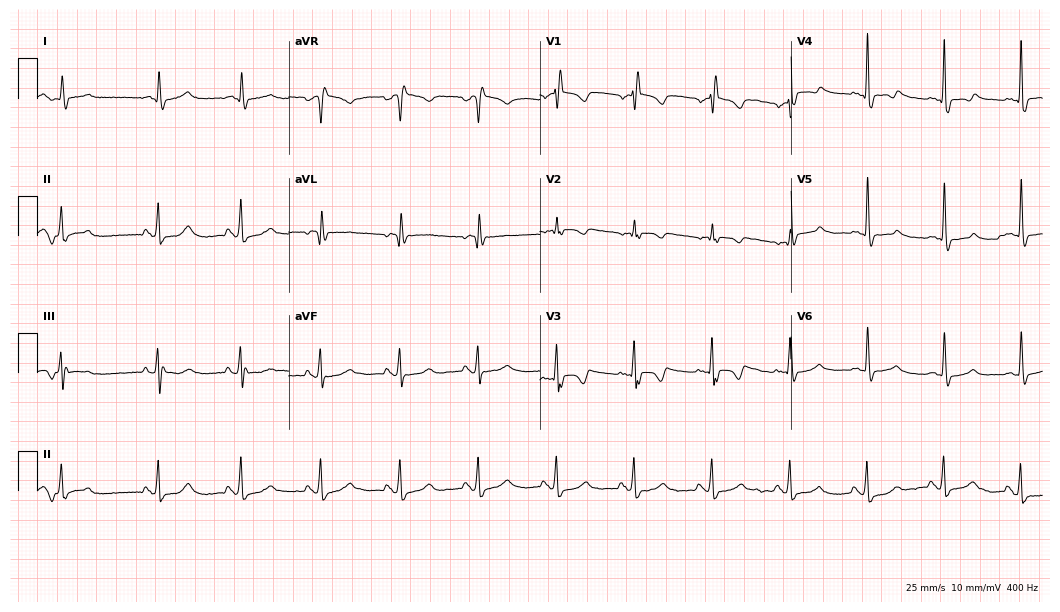
ECG (10.2-second recording at 400 Hz) — a man, 69 years old. Screened for six findings — first-degree AV block, right bundle branch block, left bundle branch block, sinus bradycardia, atrial fibrillation, sinus tachycardia — none is recorded. Other findings, if any, are not listed.